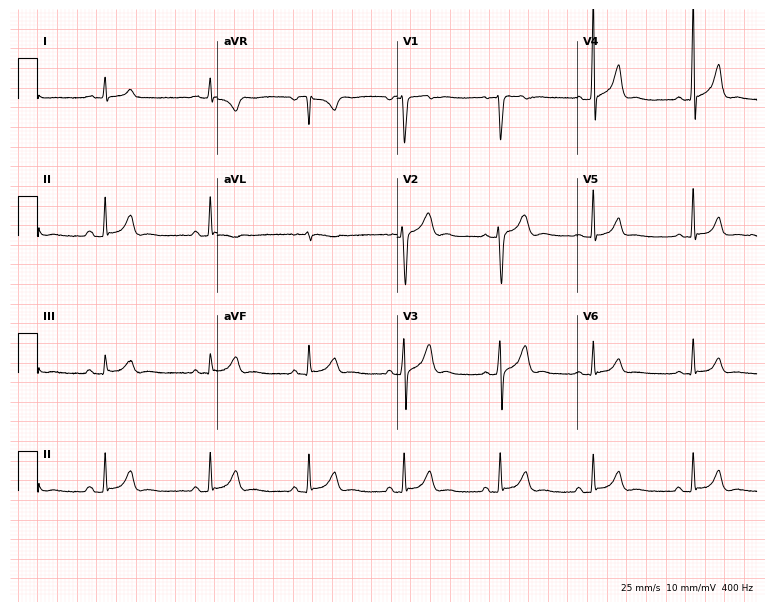
Resting 12-lead electrocardiogram. Patient: a male, 28 years old. None of these six findings is recorded: first-degree AV block, right bundle branch block, left bundle branch block, sinus bradycardia, atrial fibrillation, sinus tachycardia. Only these six findings were labelled.